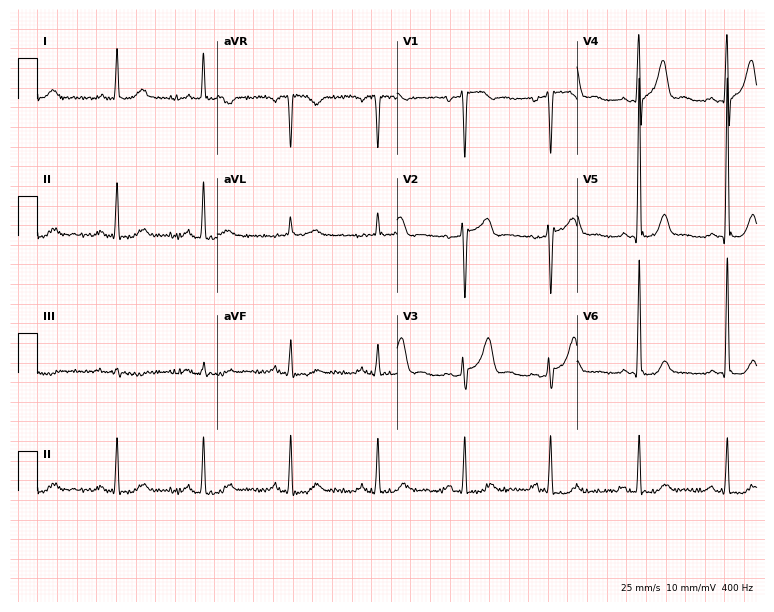
12-lead ECG from a male, 62 years old. Recorded interpretation: within normal limits.